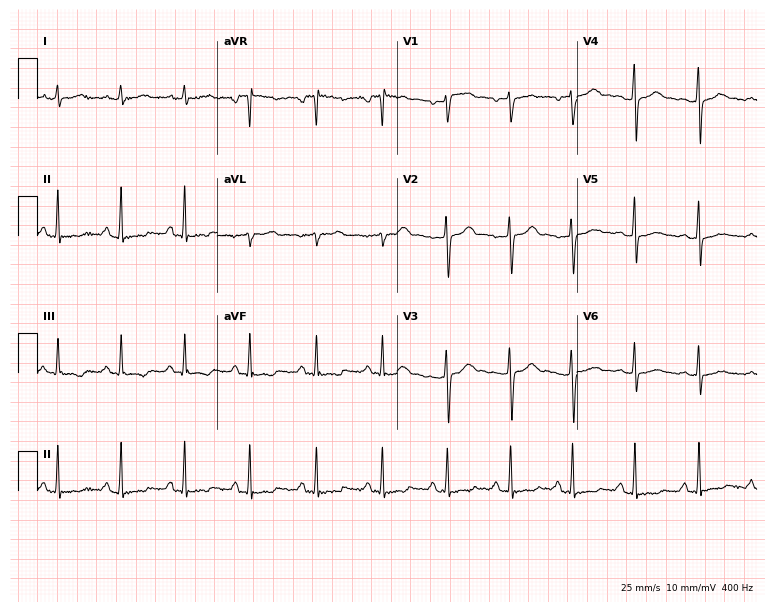
12-lead ECG from a female, 33 years old. No first-degree AV block, right bundle branch block, left bundle branch block, sinus bradycardia, atrial fibrillation or sinus tachycardia recorded for this tracing.